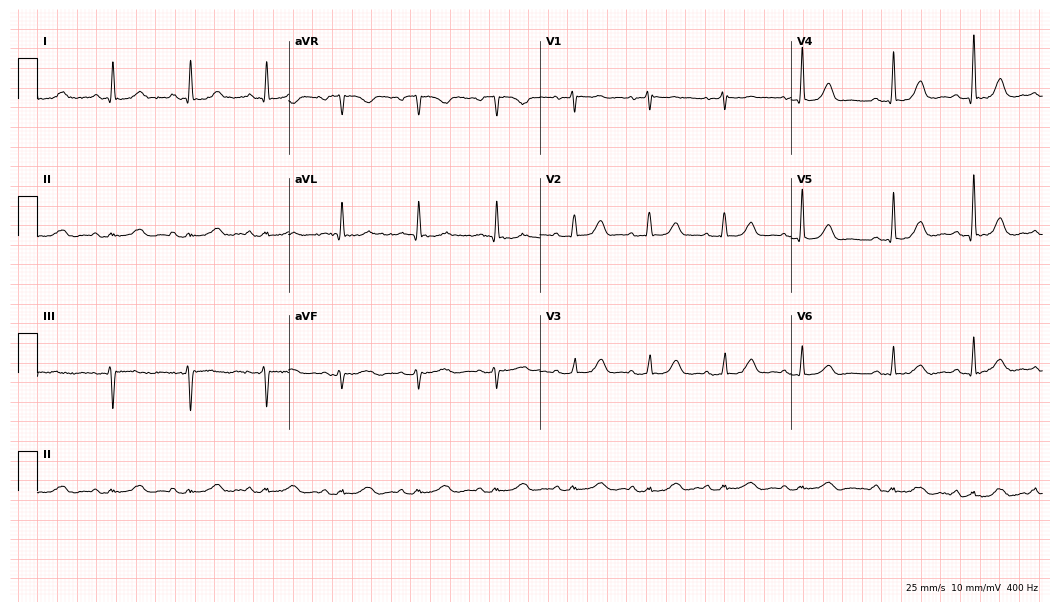
Resting 12-lead electrocardiogram (10.2-second recording at 400 Hz). Patient: a female, 60 years old. Read as a normal ECG.